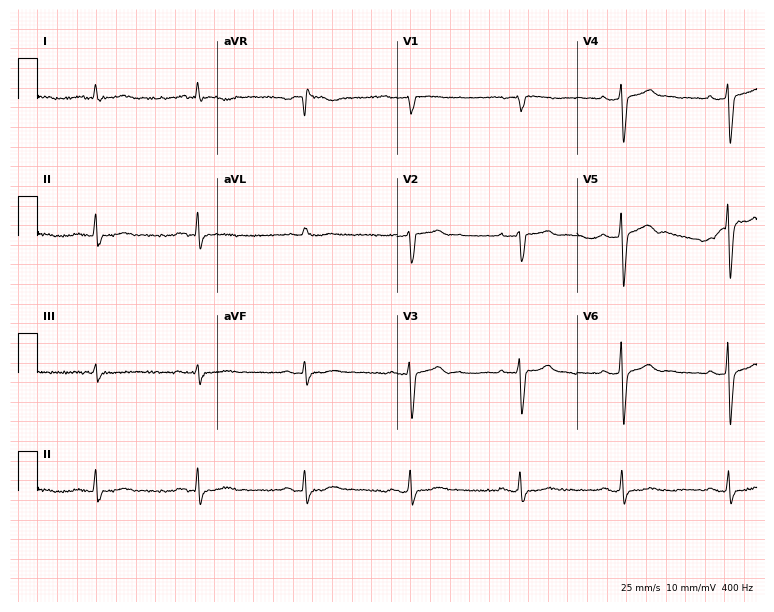
ECG (7.3-second recording at 400 Hz) — a 77-year-old male. Screened for six findings — first-degree AV block, right bundle branch block, left bundle branch block, sinus bradycardia, atrial fibrillation, sinus tachycardia — none is recorded. Other findings, if any, are not listed.